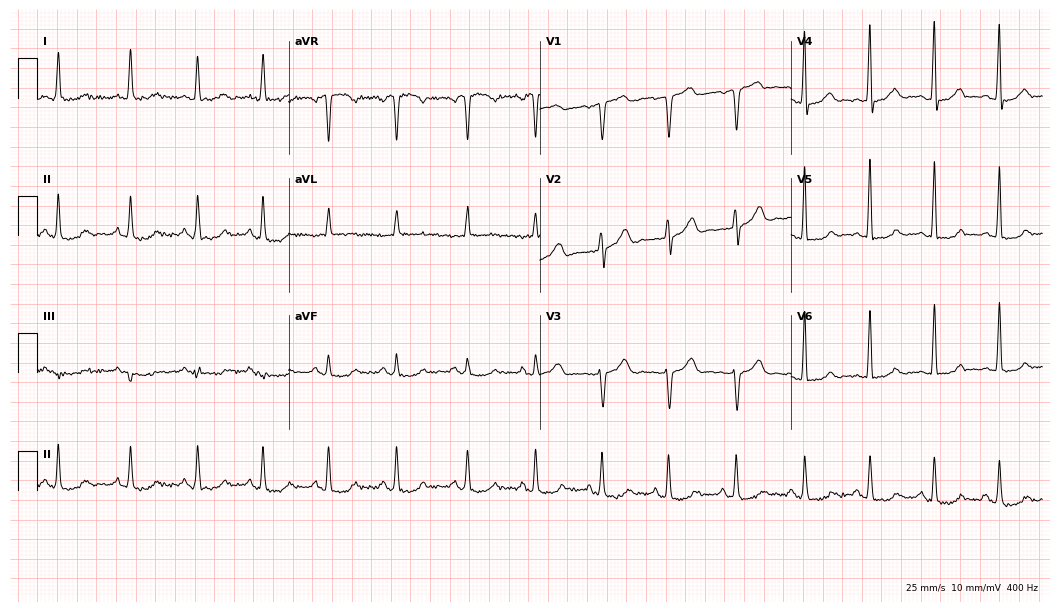
12-lead ECG from a female patient, 51 years old (10.2-second recording at 400 Hz). Recorded interpretation: within normal limits.